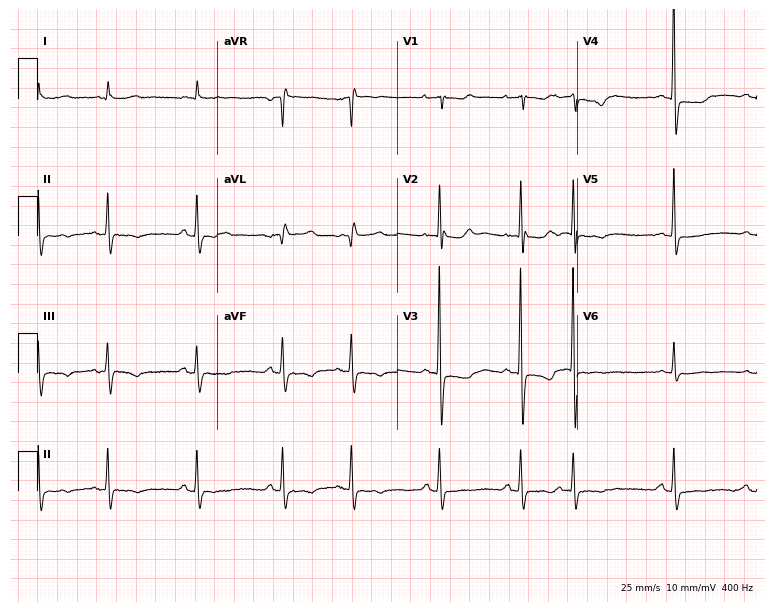
Electrocardiogram (7.3-second recording at 400 Hz), a female, 76 years old. Of the six screened findings (first-degree AV block, right bundle branch block, left bundle branch block, sinus bradycardia, atrial fibrillation, sinus tachycardia), none is recorded. Only these six findings were labelled.